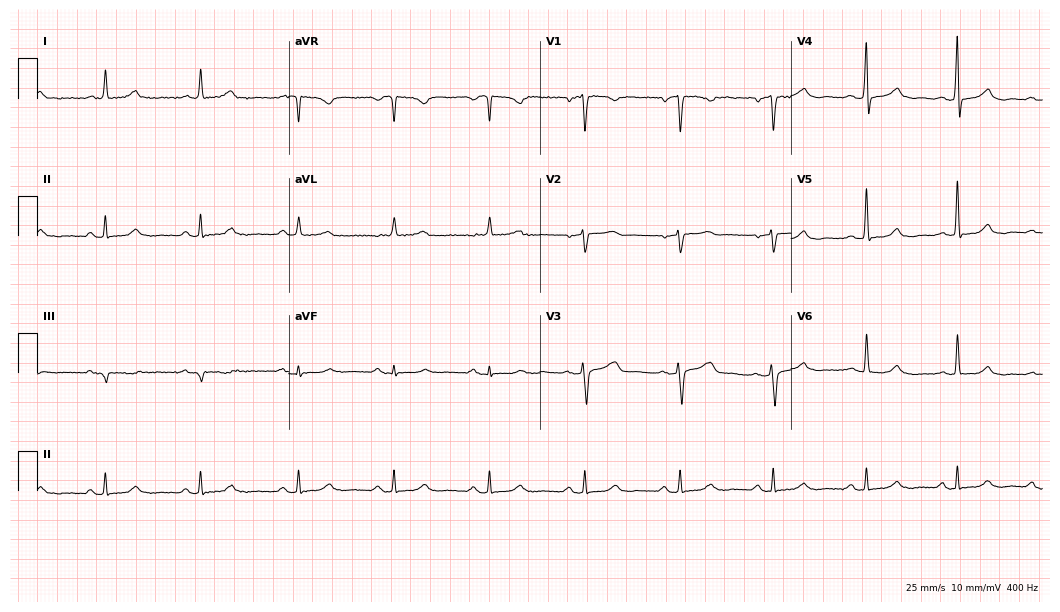
12-lead ECG from a 59-year-old man. Screened for six findings — first-degree AV block, right bundle branch block, left bundle branch block, sinus bradycardia, atrial fibrillation, sinus tachycardia — none is recorded.